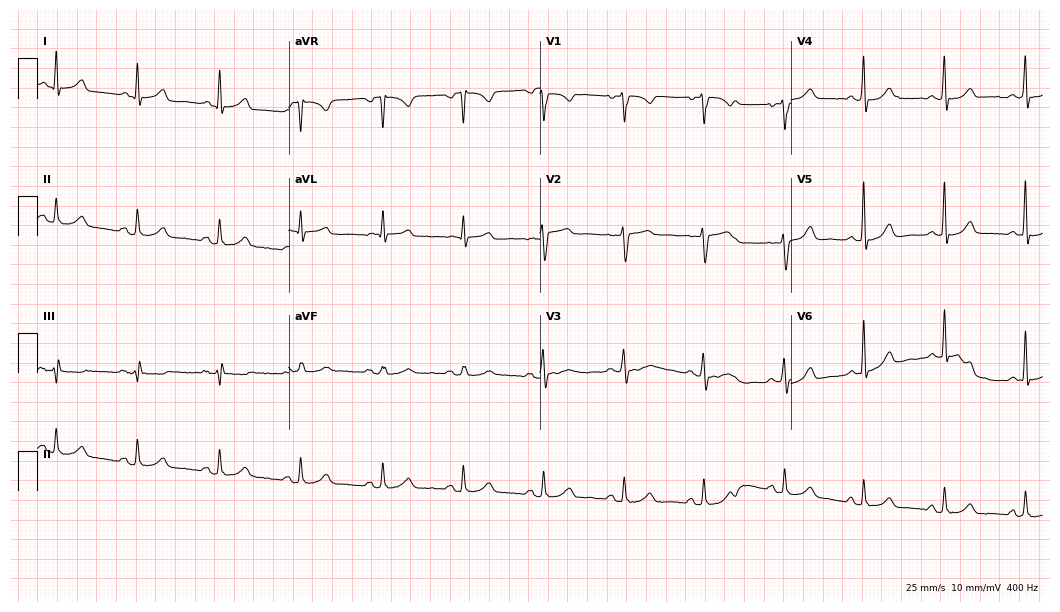
12-lead ECG from a 43-year-old female patient (10.2-second recording at 400 Hz). Recorded interpretation: within normal limits.